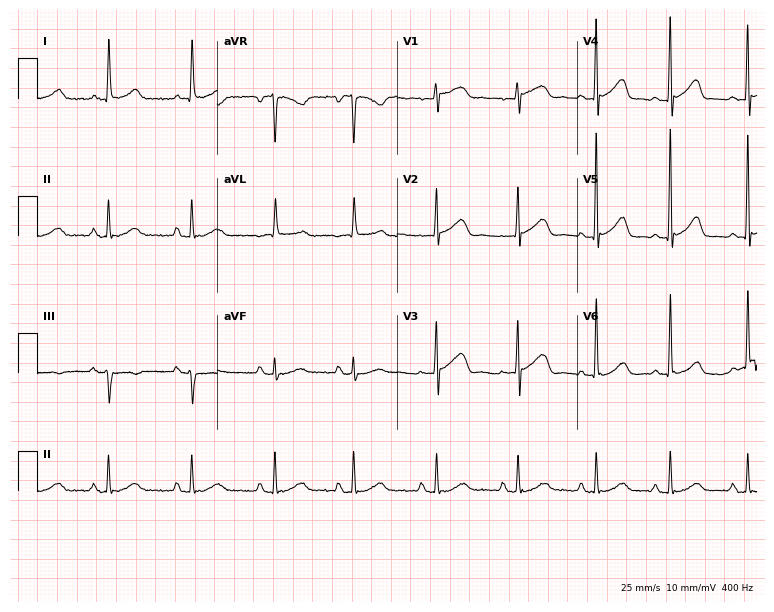
12-lead ECG from a woman, 76 years old (7.3-second recording at 400 Hz). Recorded interpretation: within normal limits.